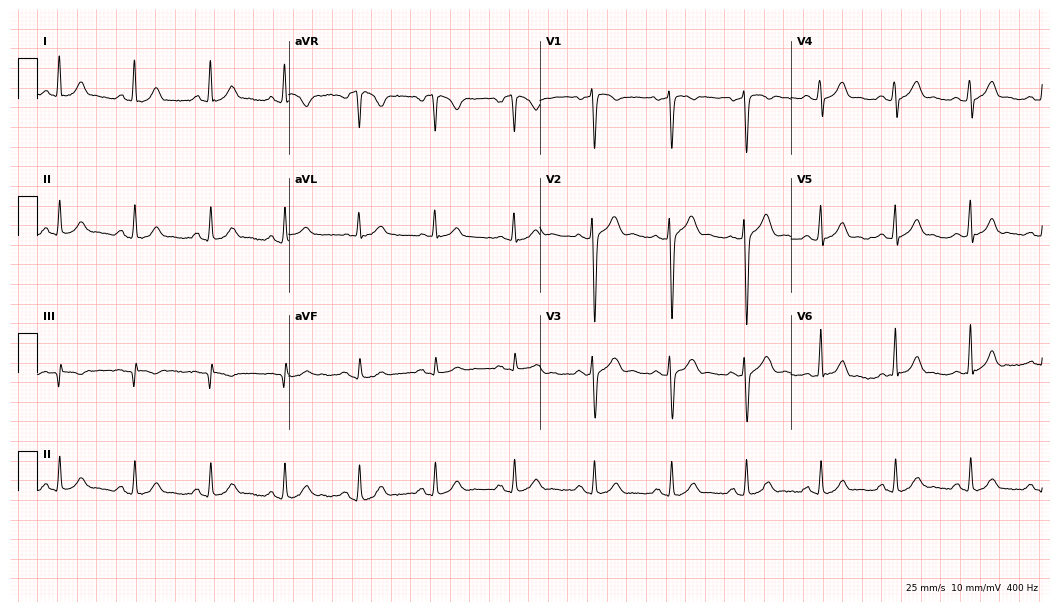
12-lead ECG from a male patient, 27 years old (10.2-second recording at 400 Hz). Recorded interpretation: within normal limits.